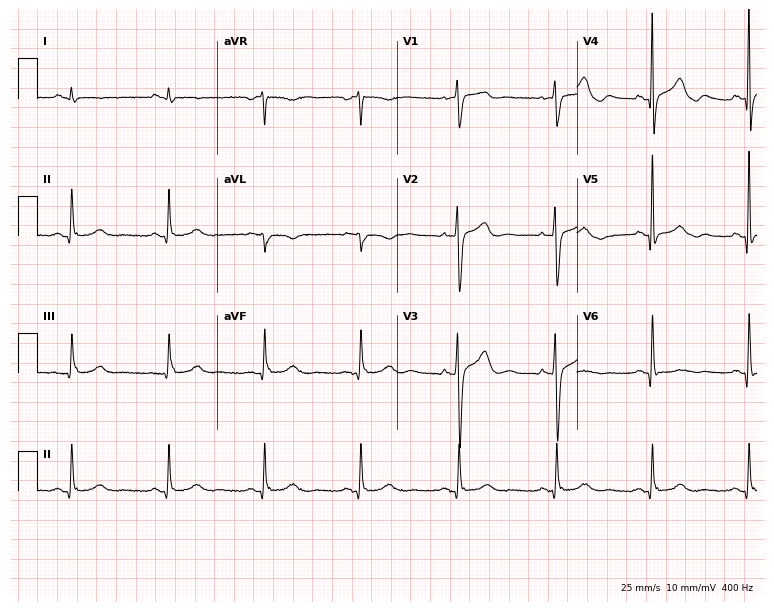
Electrocardiogram, a 48-year-old man. Of the six screened findings (first-degree AV block, right bundle branch block, left bundle branch block, sinus bradycardia, atrial fibrillation, sinus tachycardia), none is recorded. Only these six findings were labelled.